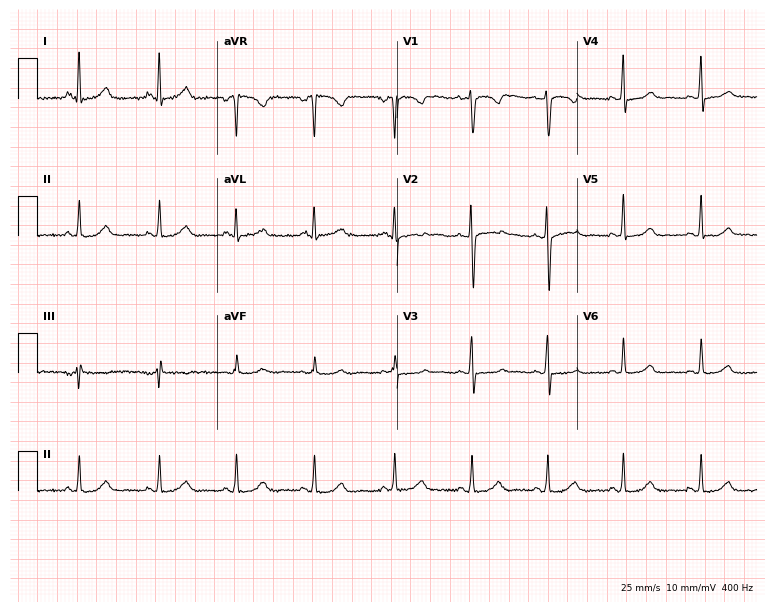
ECG — a 17-year-old woman. Labelled as a normal ECG.